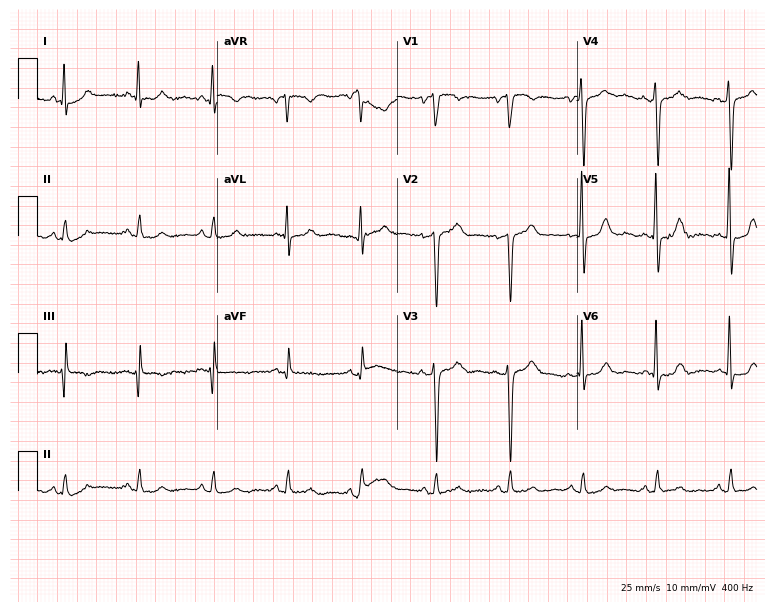
12-lead ECG from a male patient, 72 years old. No first-degree AV block, right bundle branch block, left bundle branch block, sinus bradycardia, atrial fibrillation or sinus tachycardia recorded for this tracing. Other findings, if any, are not listed.